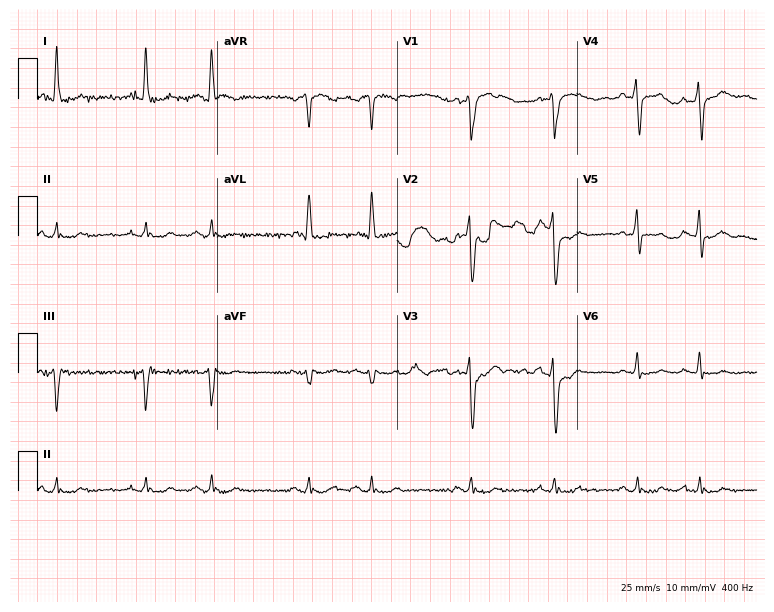
Electrocardiogram, a 78-year-old man. Of the six screened findings (first-degree AV block, right bundle branch block, left bundle branch block, sinus bradycardia, atrial fibrillation, sinus tachycardia), none is recorded. Other findings, if any, are not listed.